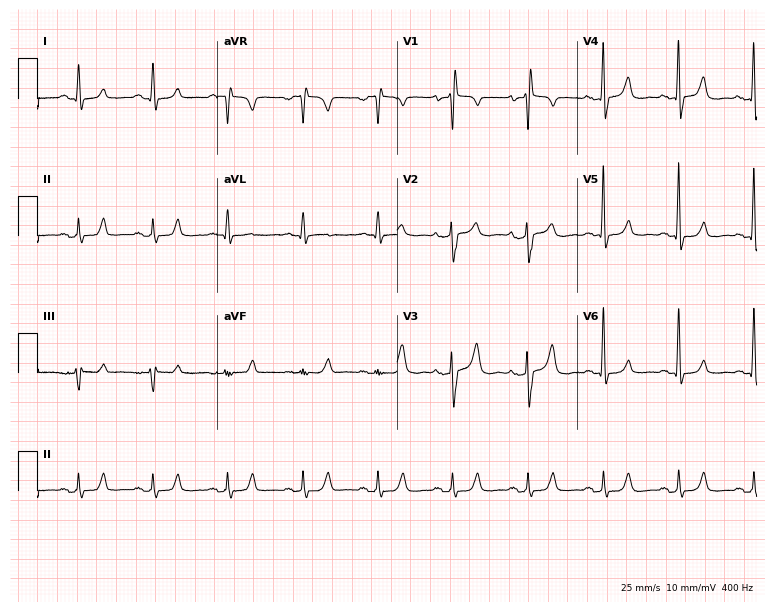
ECG — an 81-year-old man. Screened for six findings — first-degree AV block, right bundle branch block, left bundle branch block, sinus bradycardia, atrial fibrillation, sinus tachycardia — none is recorded. Other findings, if any, are not listed.